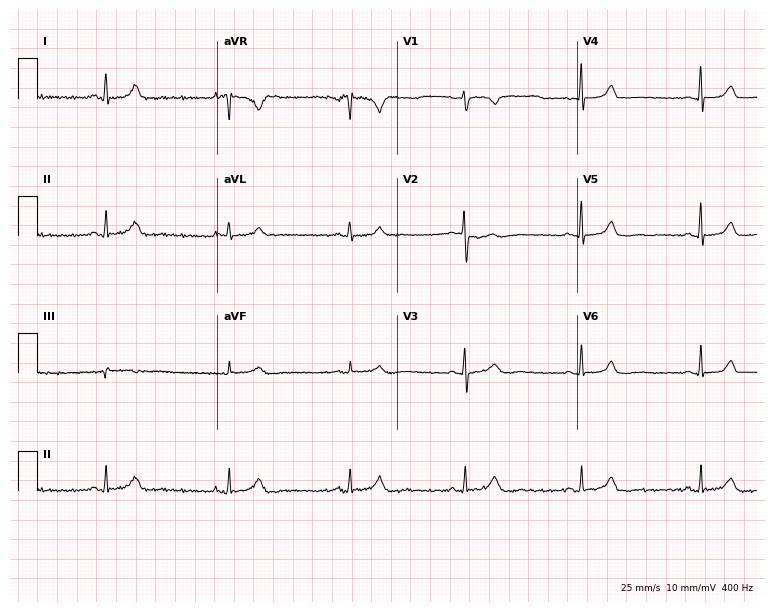
12-lead ECG from a 52-year-old female. Shows sinus bradycardia (a sinus rate of 50 beats per minute or less).